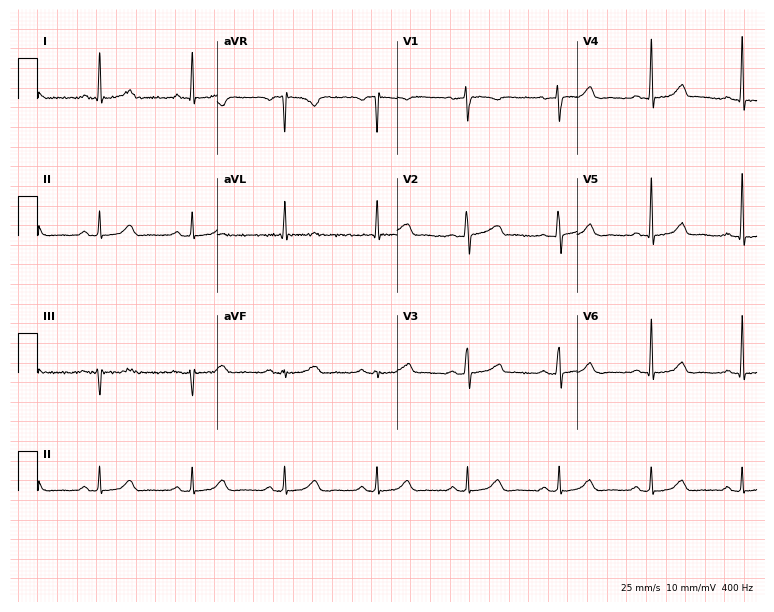
12-lead ECG (7.3-second recording at 400 Hz) from a female patient, 60 years old. Labelled as a normal ECG.